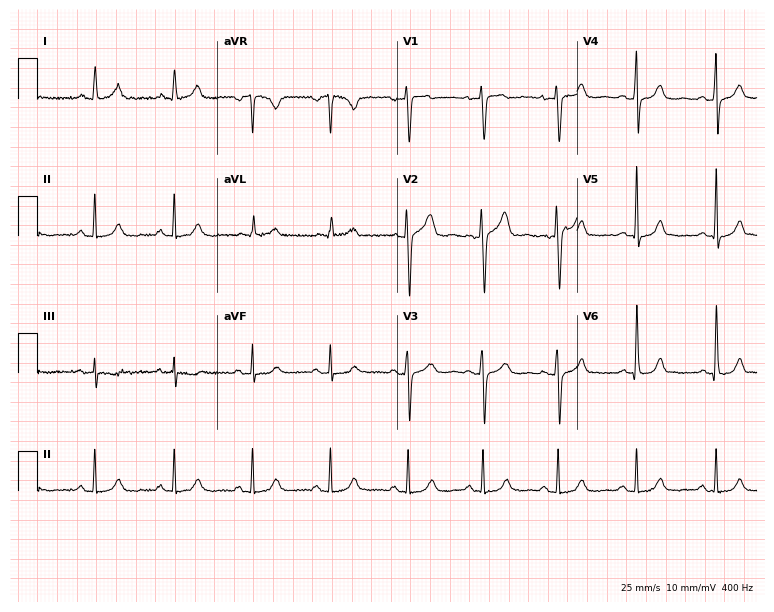
Electrocardiogram, a 39-year-old woman. Overall reading on record: normal ECG.